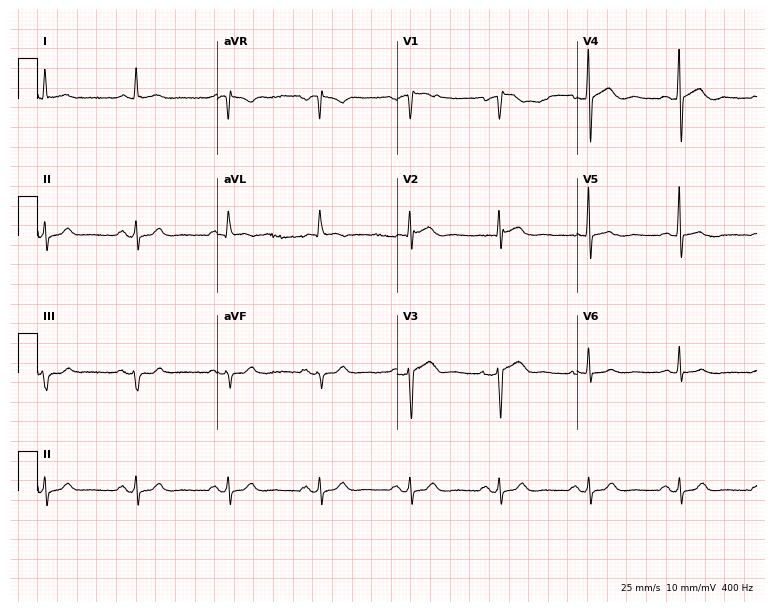
Electrocardiogram, a 73-year-old male. Overall reading on record: normal ECG.